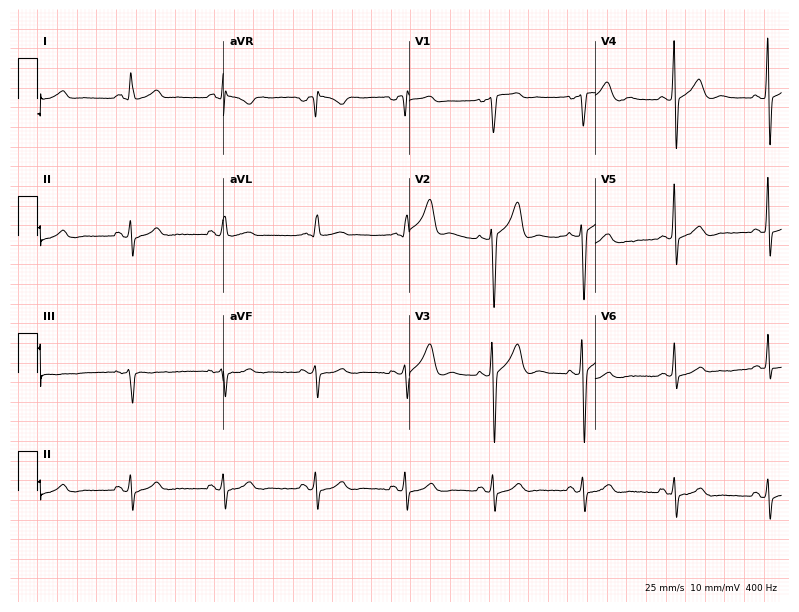
12-lead ECG from a 56-year-old male. No first-degree AV block, right bundle branch block, left bundle branch block, sinus bradycardia, atrial fibrillation or sinus tachycardia recorded for this tracing.